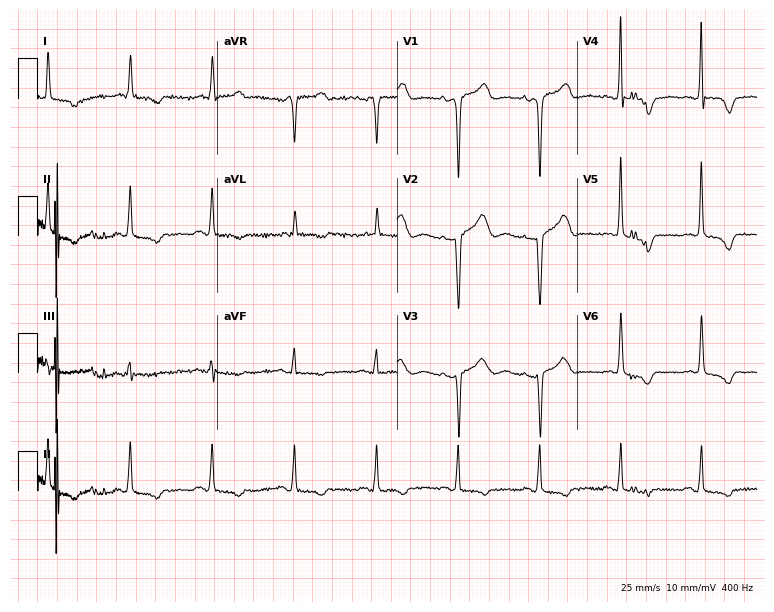
Standard 12-lead ECG recorded from a female patient, 73 years old (7.3-second recording at 400 Hz). None of these six findings is recorded: first-degree AV block, right bundle branch block (RBBB), left bundle branch block (LBBB), sinus bradycardia, atrial fibrillation (AF), sinus tachycardia. Findings outside these six are not listed.